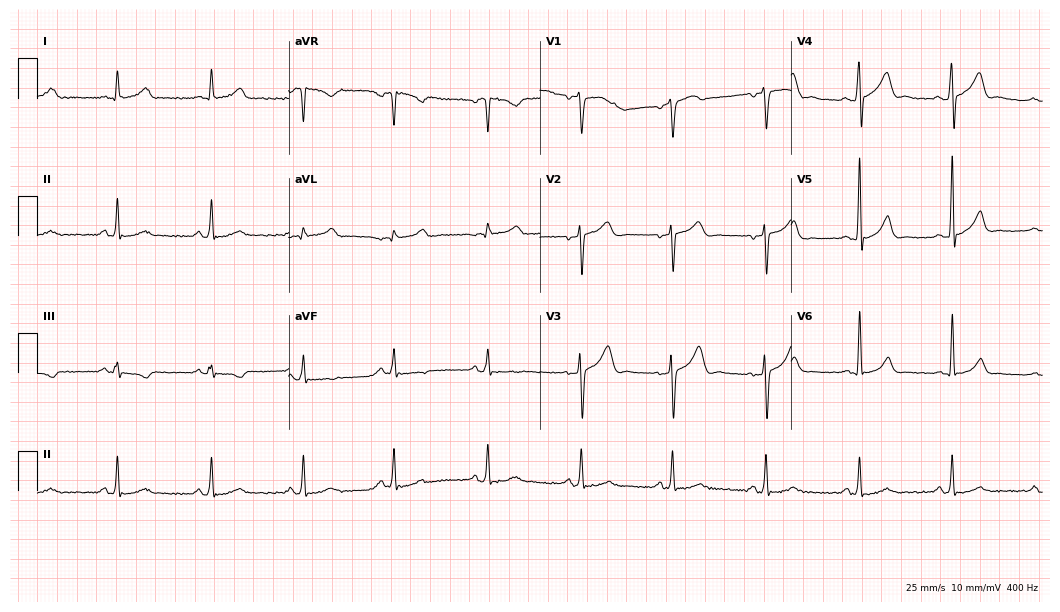
12-lead ECG (10.2-second recording at 400 Hz) from a 46-year-old male. Labelled as a normal ECG.